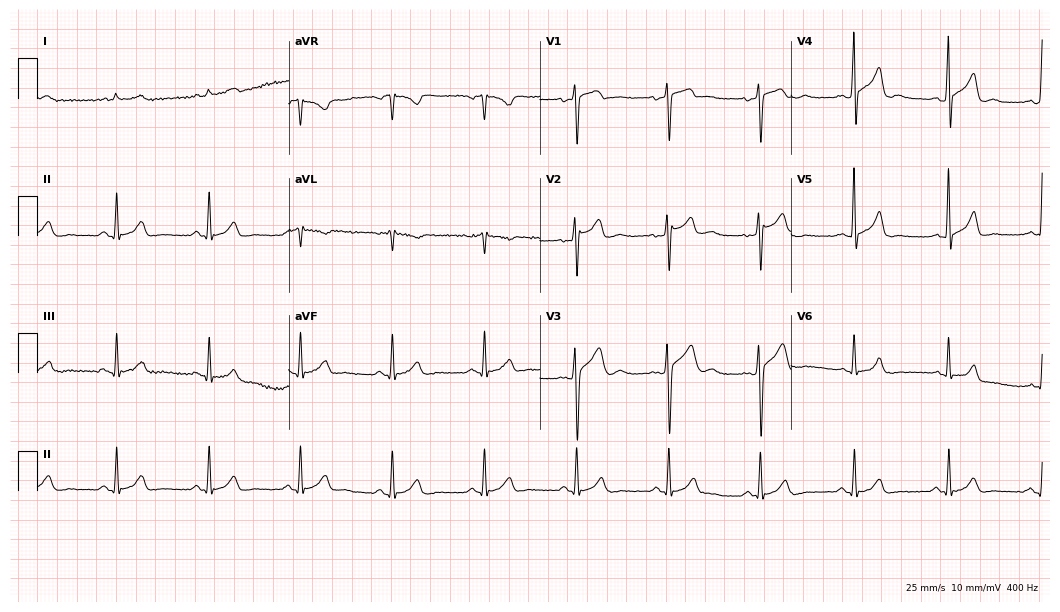
12-lead ECG from a 40-year-old man. Recorded interpretation: within normal limits.